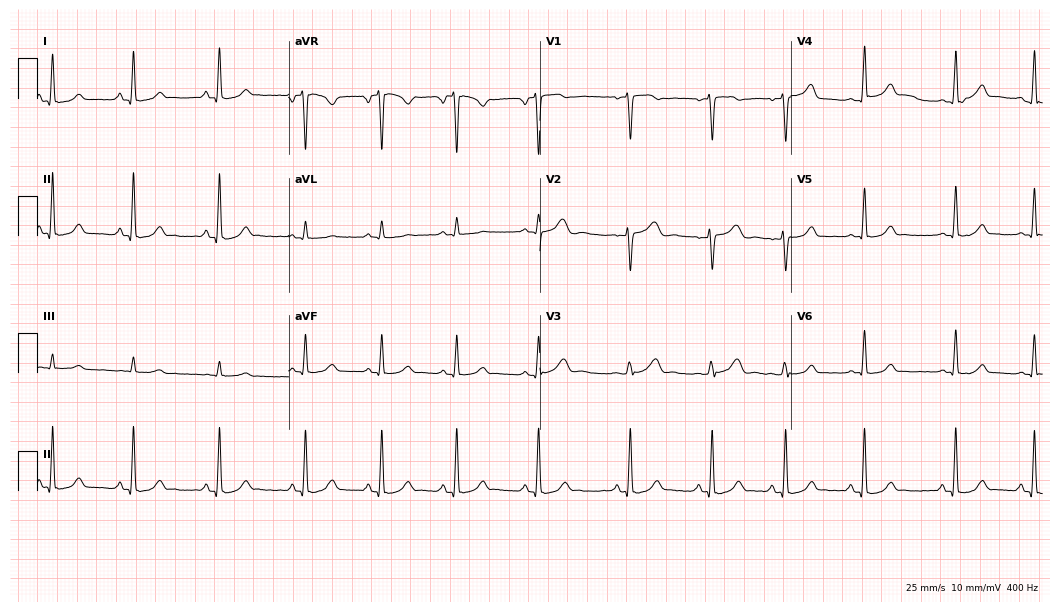
ECG (10.2-second recording at 400 Hz) — a 24-year-old female. Labelled as a normal ECG.